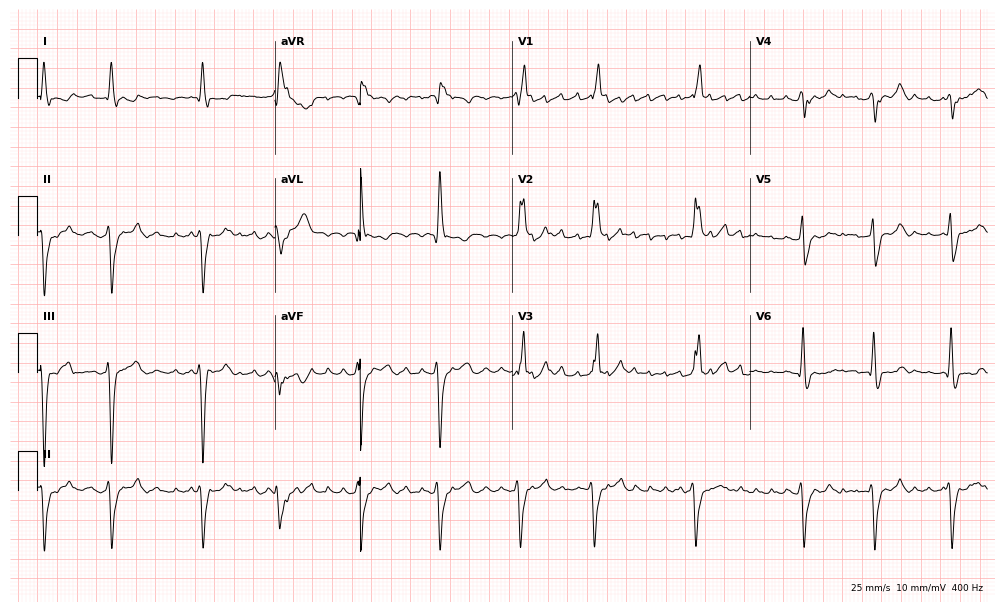
12-lead ECG from a 78-year-old man. Shows right bundle branch block.